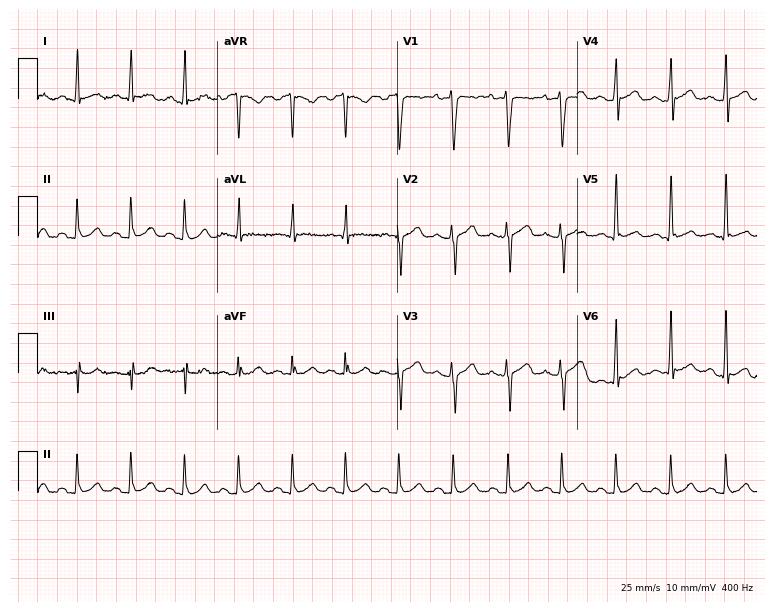
Resting 12-lead electrocardiogram (7.3-second recording at 400 Hz). Patient: a 36-year-old man. The tracing shows sinus tachycardia (a sinus rate of 100 beats per minute or more).